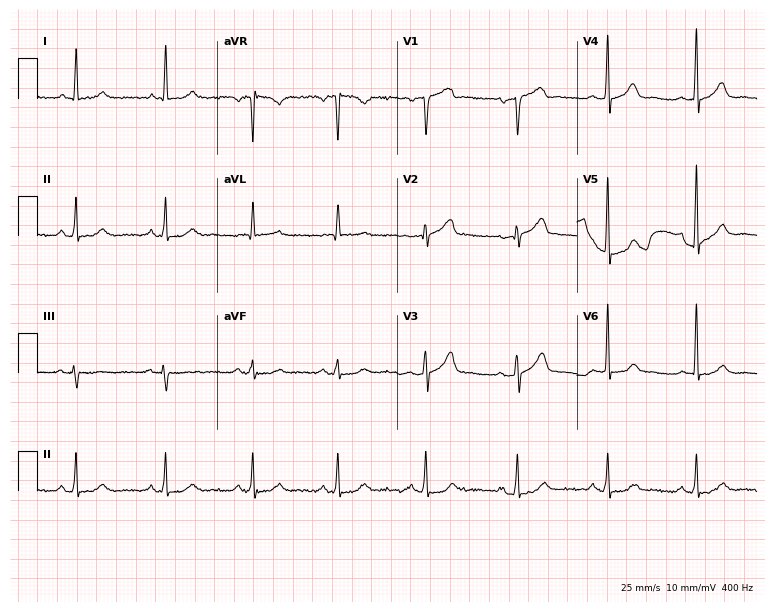
12-lead ECG from a 76-year-old male. Screened for six findings — first-degree AV block, right bundle branch block, left bundle branch block, sinus bradycardia, atrial fibrillation, sinus tachycardia — none is recorded. Findings outside these six are not listed.